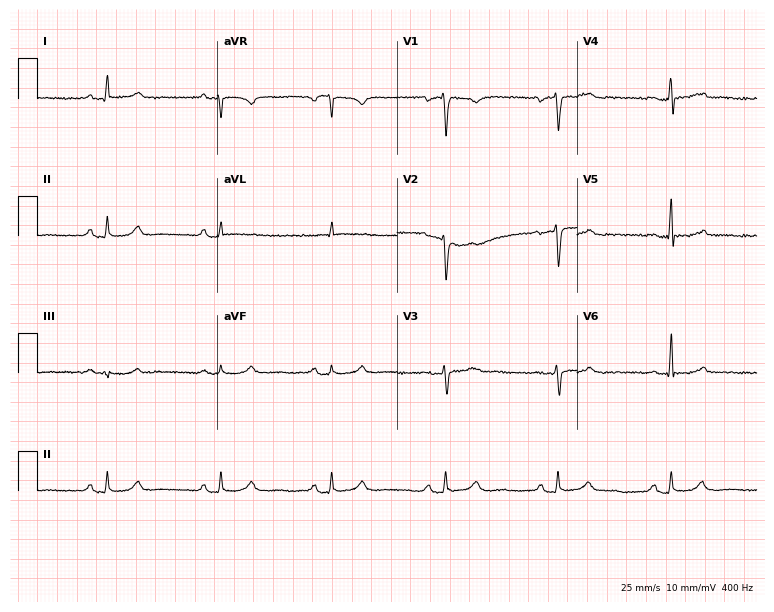
Standard 12-lead ECG recorded from a female patient, 50 years old. None of these six findings is recorded: first-degree AV block, right bundle branch block (RBBB), left bundle branch block (LBBB), sinus bradycardia, atrial fibrillation (AF), sinus tachycardia.